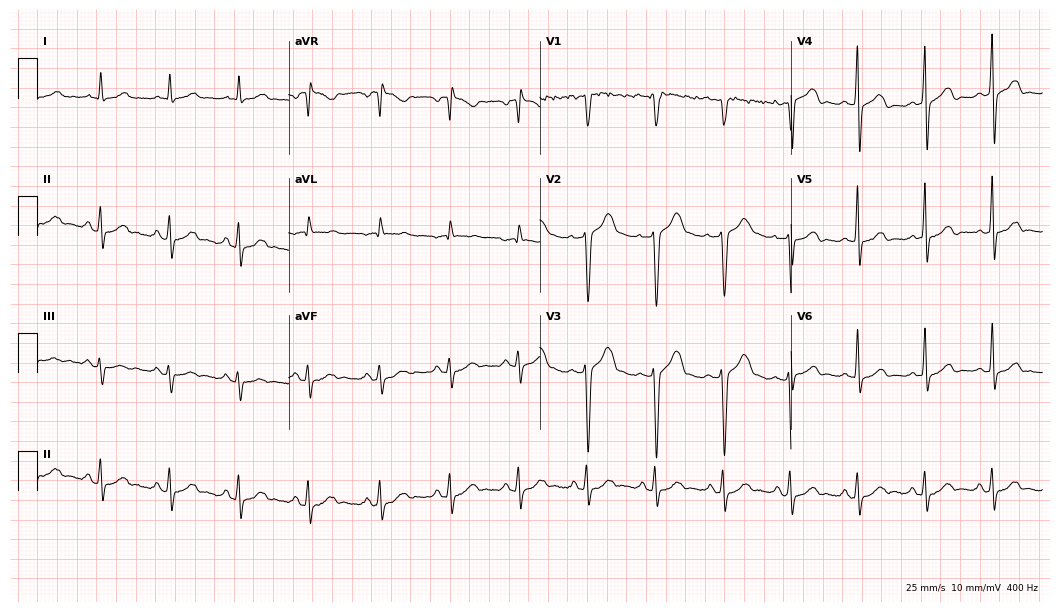
12-lead ECG from a male patient, 39 years old. Screened for six findings — first-degree AV block, right bundle branch block, left bundle branch block, sinus bradycardia, atrial fibrillation, sinus tachycardia — none is recorded.